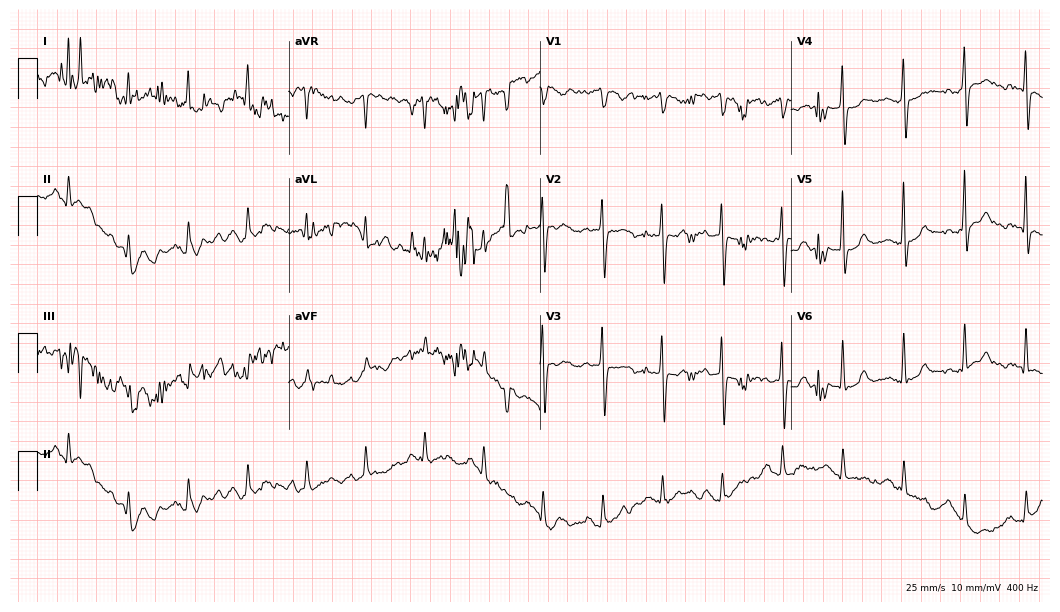
Standard 12-lead ECG recorded from a woman, 68 years old. Read as a normal ECG.